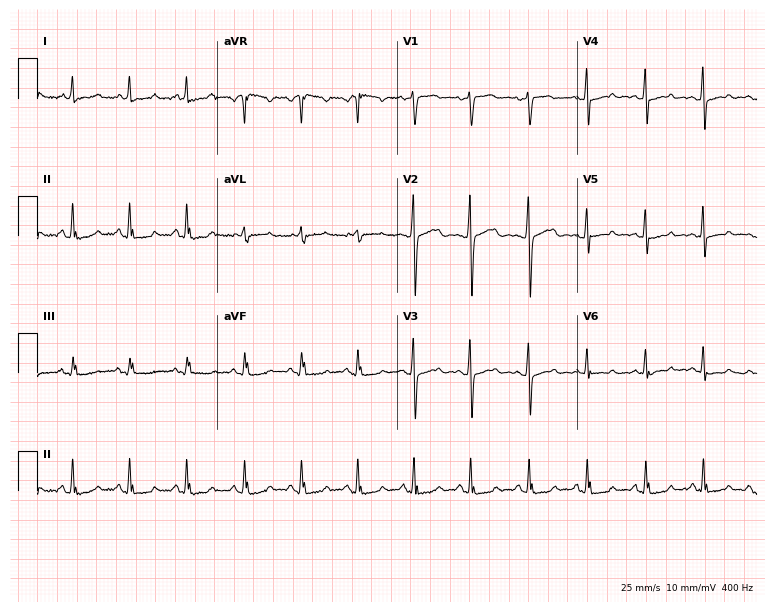
Electrocardiogram, a 45-year-old female patient. Of the six screened findings (first-degree AV block, right bundle branch block, left bundle branch block, sinus bradycardia, atrial fibrillation, sinus tachycardia), none is recorded.